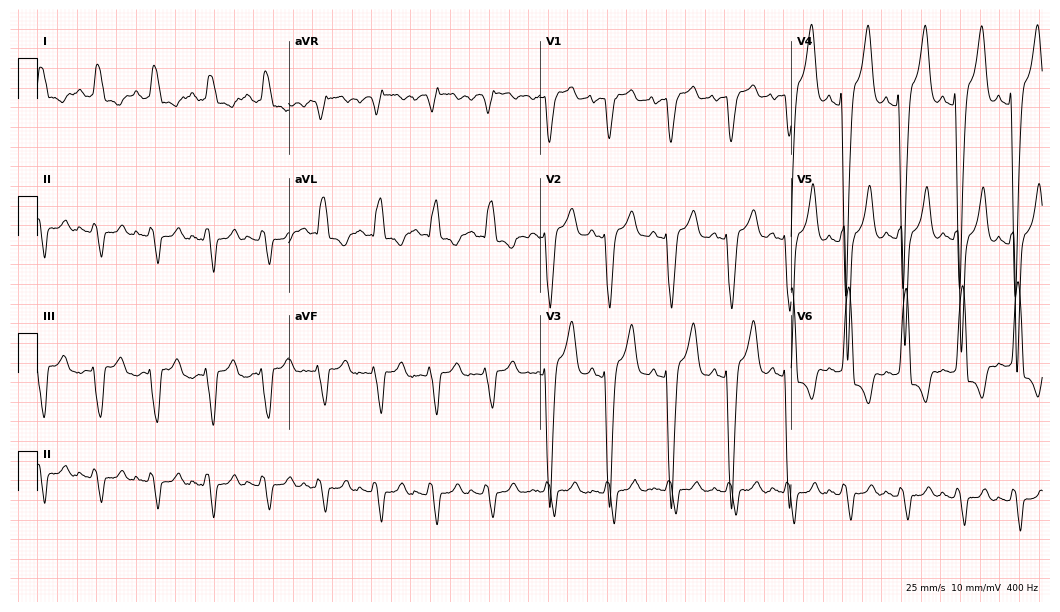
12-lead ECG (10.2-second recording at 400 Hz) from a 43-year-old female. Findings include left bundle branch block, sinus tachycardia (a sinus rate of 100 beats per minute or more).